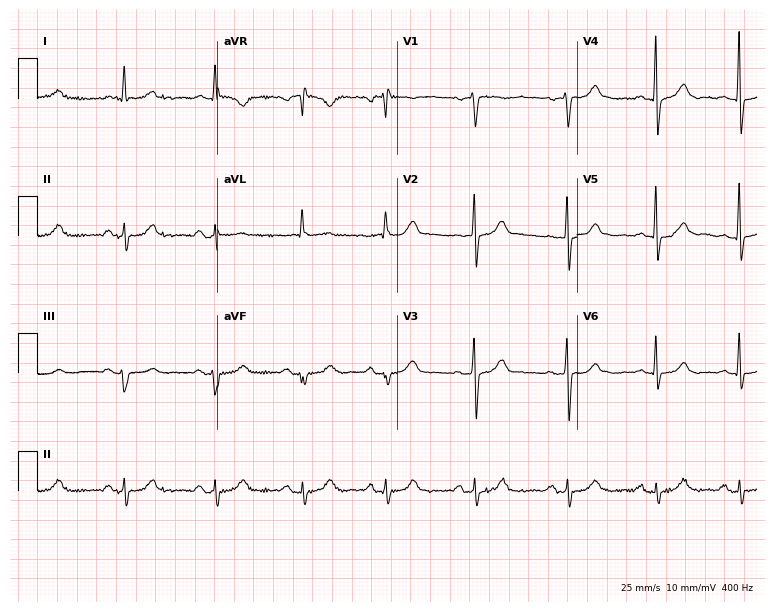
Standard 12-lead ECG recorded from a 59-year-old female. None of these six findings is recorded: first-degree AV block, right bundle branch block, left bundle branch block, sinus bradycardia, atrial fibrillation, sinus tachycardia.